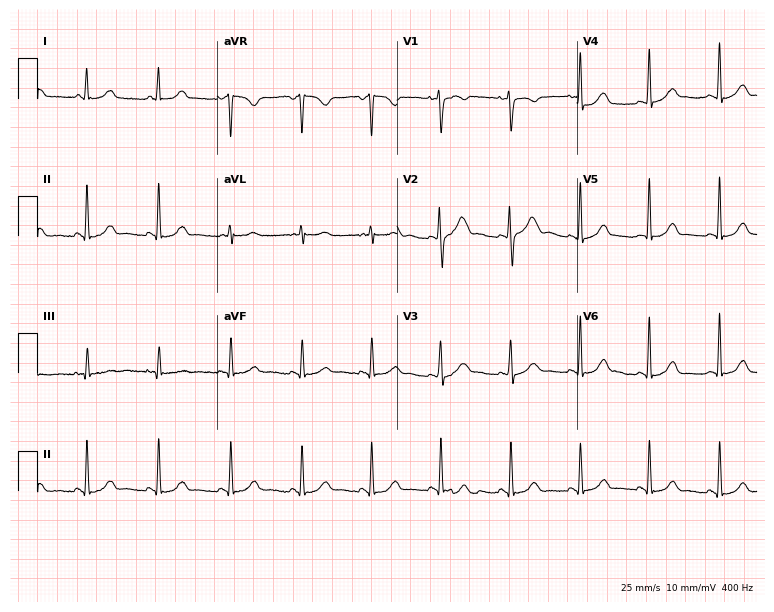
ECG — a female, 31 years old. Labelled as a normal ECG.